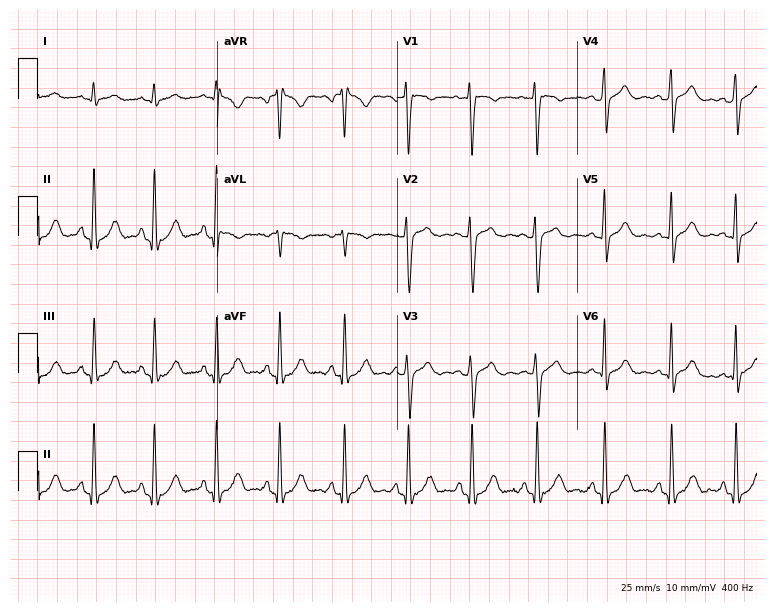
Resting 12-lead electrocardiogram. Patient: a man, 45 years old. Read as a normal ECG.